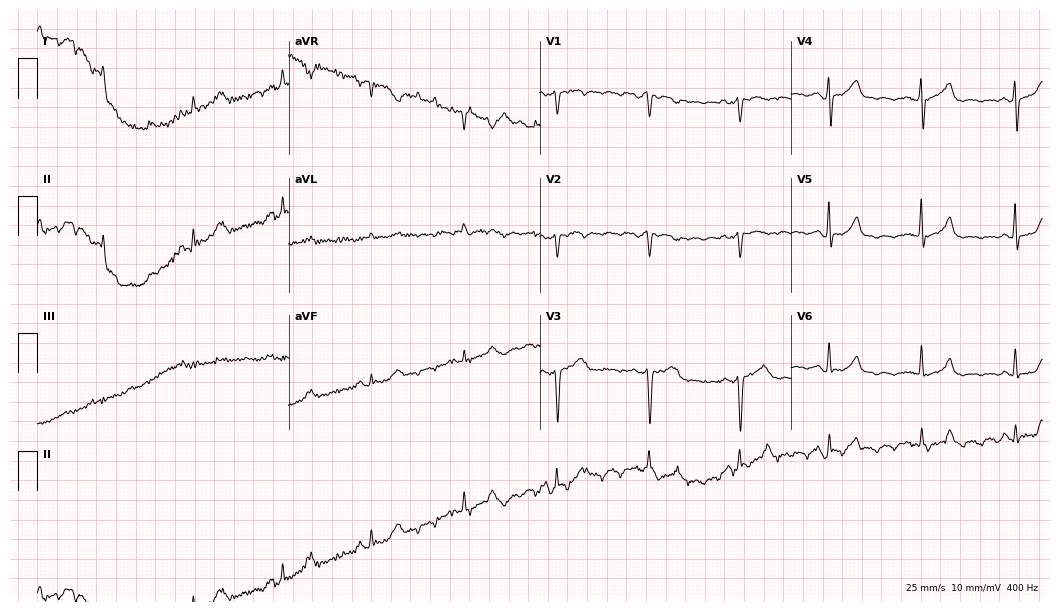
Standard 12-lead ECG recorded from a female, 67 years old (10.2-second recording at 400 Hz). None of these six findings is recorded: first-degree AV block, right bundle branch block, left bundle branch block, sinus bradycardia, atrial fibrillation, sinus tachycardia.